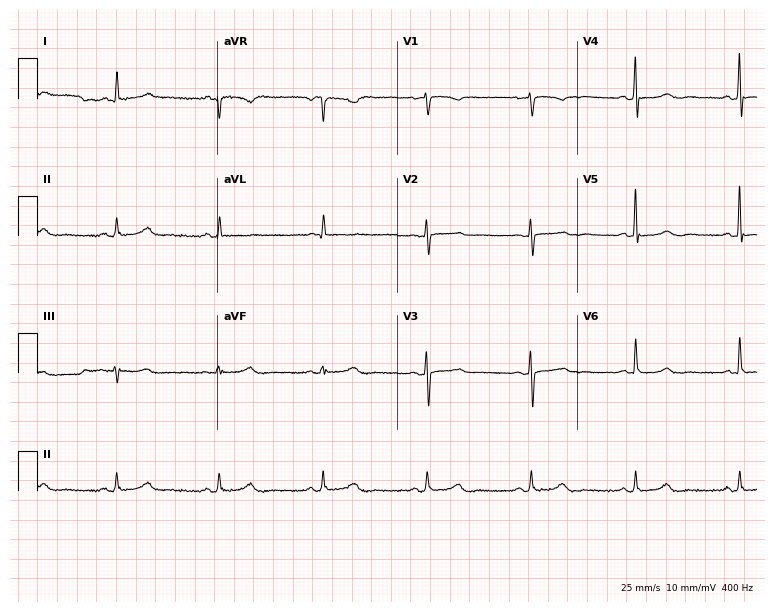
ECG (7.3-second recording at 400 Hz) — a female patient, 61 years old. Labelled as a normal ECG.